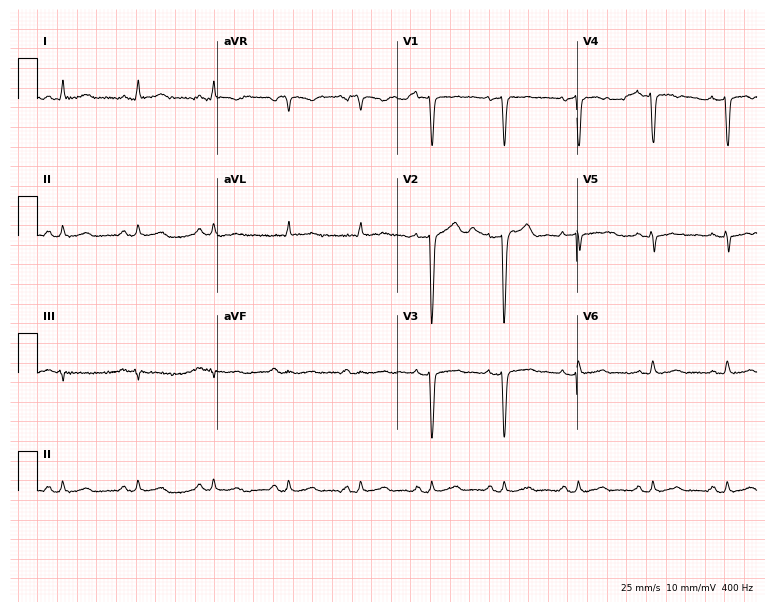
ECG (7.3-second recording at 400 Hz) — a 41-year-old male patient. Screened for six findings — first-degree AV block, right bundle branch block, left bundle branch block, sinus bradycardia, atrial fibrillation, sinus tachycardia — none is recorded. Other findings, if any, are not listed.